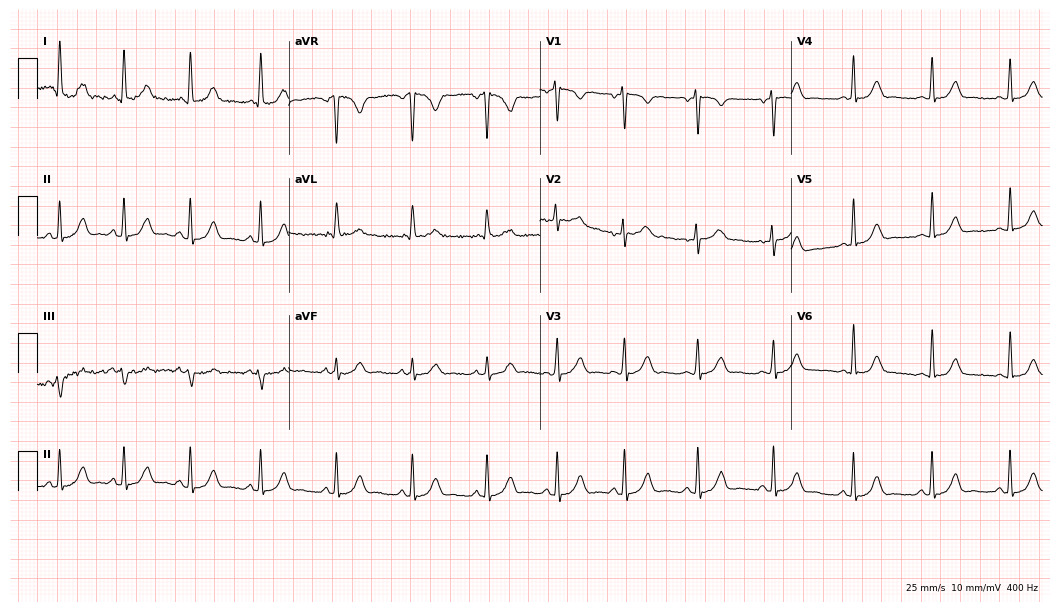
12-lead ECG from a 40-year-old female. No first-degree AV block, right bundle branch block, left bundle branch block, sinus bradycardia, atrial fibrillation or sinus tachycardia recorded for this tracing.